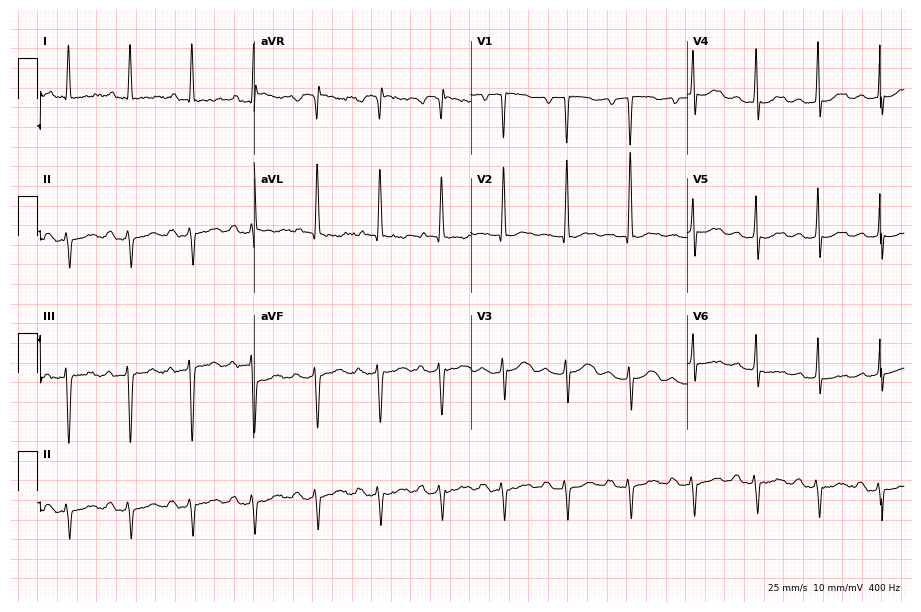
Standard 12-lead ECG recorded from a 79-year-old woman (8.8-second recording at 400 Hz). None of these six findings is recorded: first-degree AV block, right bundle branch block (RBBB), left bundle branch block (LBBB), sinus bradycardia, atrial fibrillation (AF), sinus tachycardia. Other findings, if any, are not listed.